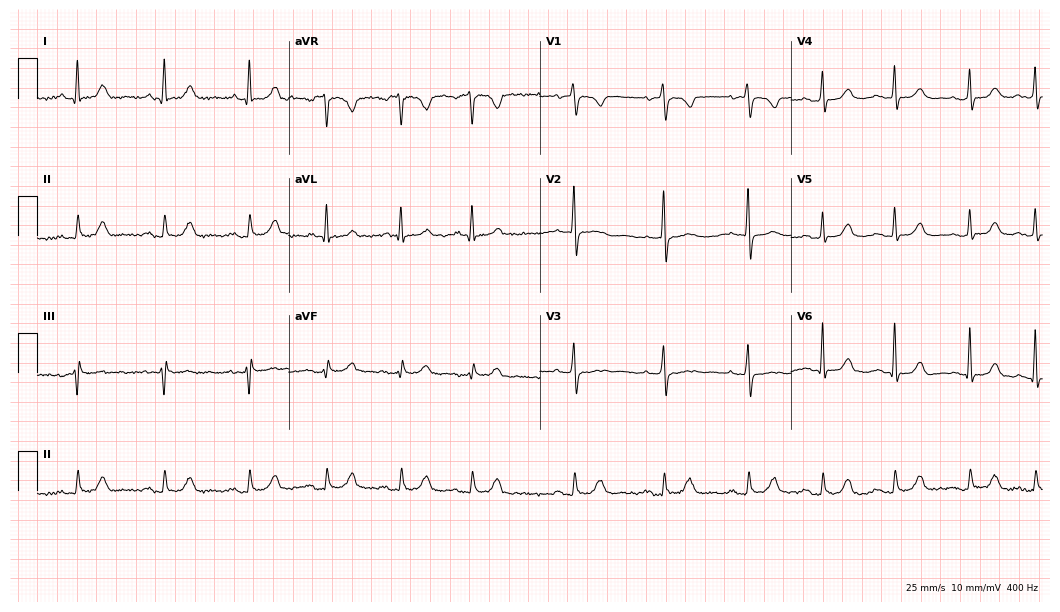
ECG — a 78-year-old female. Labelled as a normal ECG.